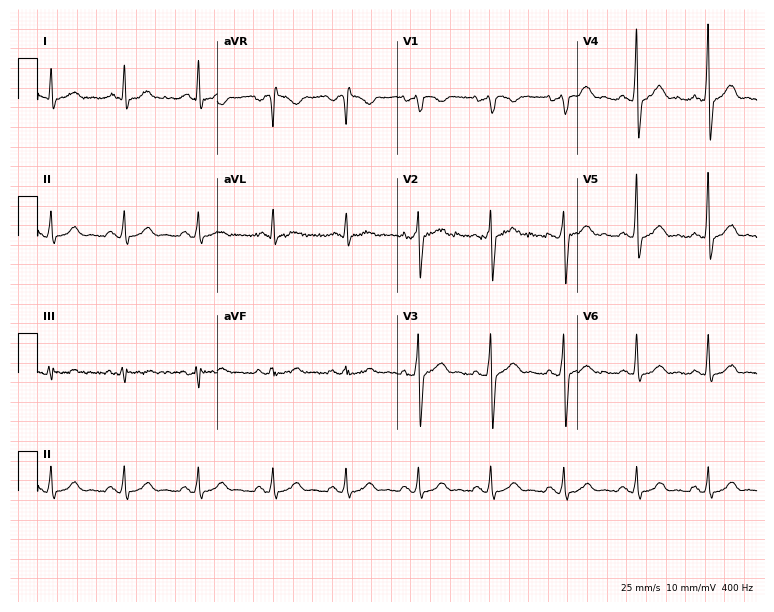
Standard 12-lead ECG recorded from a male patient, 38 years old (7.3-second recording at 400 Hz). Read as a normal ECG.